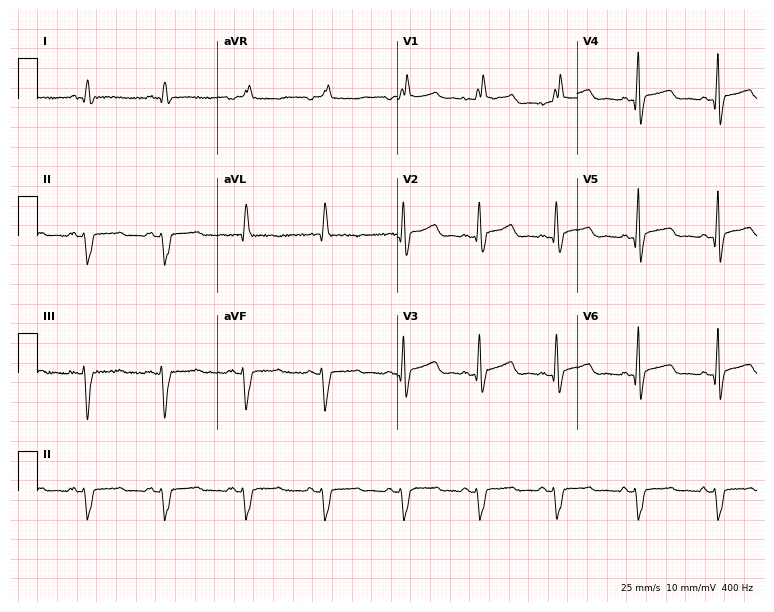
12-lead ECG from a male, 66 years old. Shows right bundle branch block (RBBB).